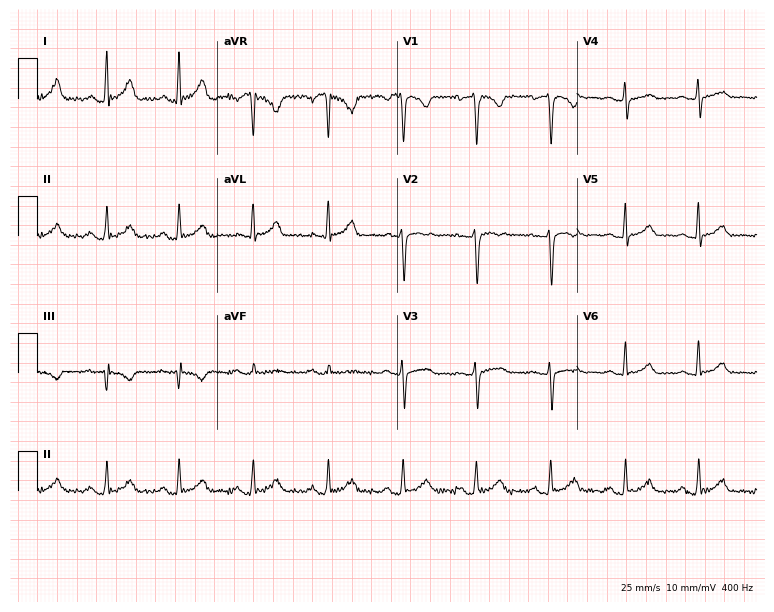
Standard 12-lead ECG recorded from a 31-year-old woman (7.3-second recording at 400 Hz). None of these six findings is recorded: first-degree AV block, right bundle branch block, left bundle branch block, sinus bradycardia, atrial fibrillation, sinus tachycardia. Findings outside these six are not listed.